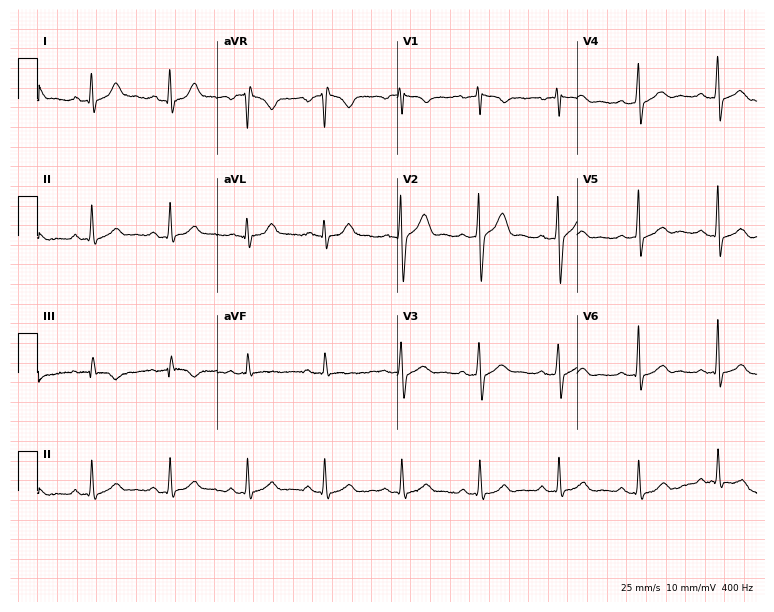
ECG — a 33-year-old man. Labelled as a normal ECG.